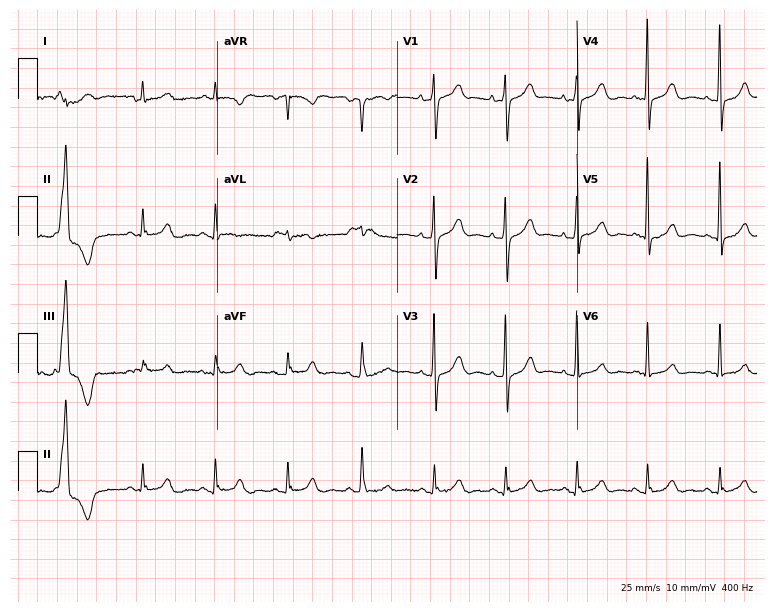
12-lead ECG from a 70-year-old female patient. No first-degree AV block, right bundle branch block, left bundle branch block, sinus bradycardia, atrial fibrillation or sinus tachycardia recorded for this tracing.